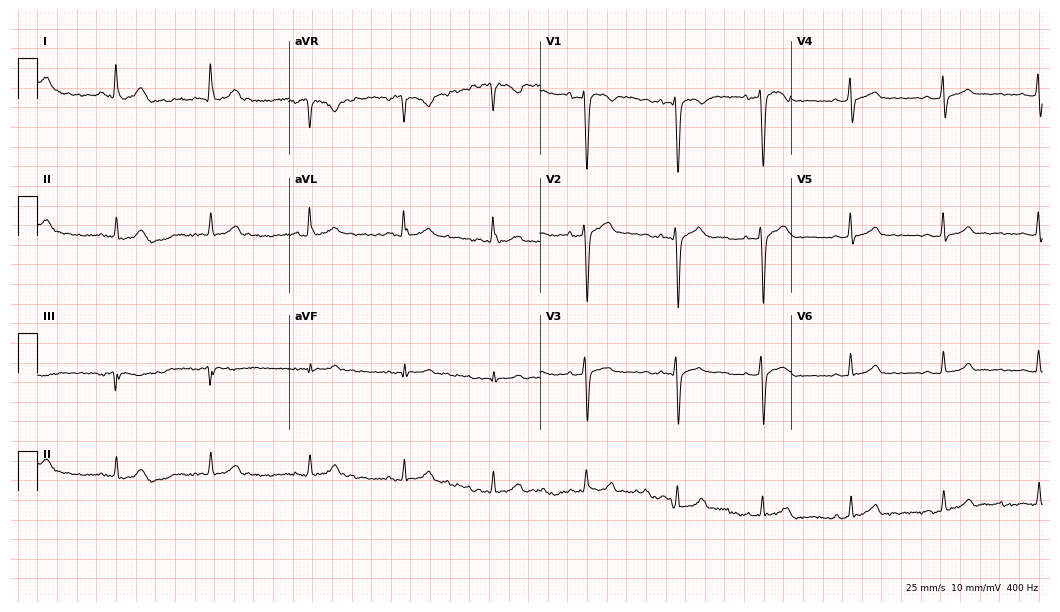
ECG — a 20-year-old male. Screened for six findings — first-degree AV block, right bundle branch block, left bundle branch block, sinus bradycardia, atrial fibrillation, sinus tachycardia — none is recorded.